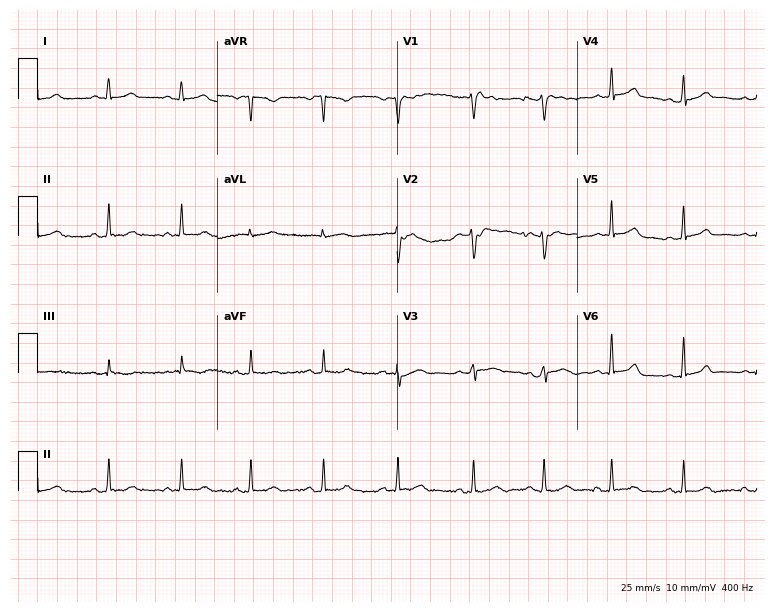
12-lead ECG (7.3-second recording at 400 Hz) from a woman, 22 years old. Labelled as a normal ECG.